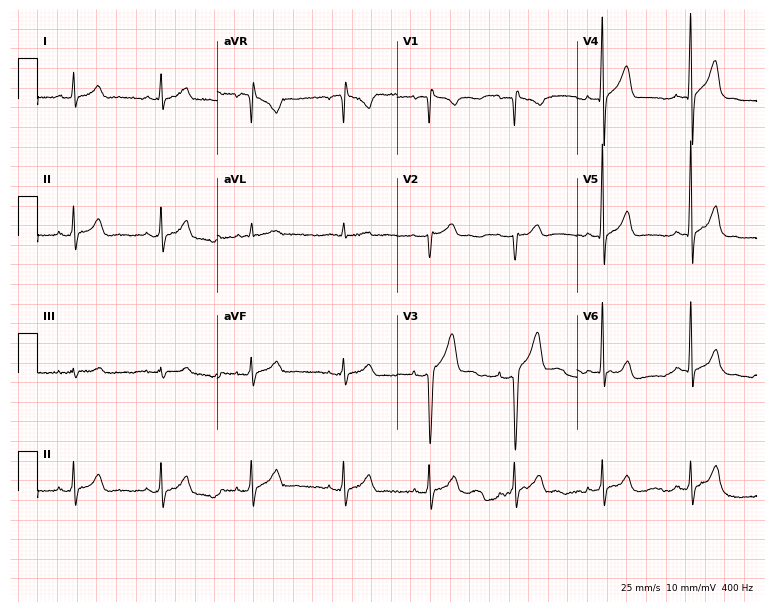
Standard 12-lead ECG recorded from a male patient, 35 years old. None of these six findings is recorded: first-degree AV block, right bundle branch block, left bundle branch block, sinus bradycardia, atrial fibrillation, sinus tachycardia.